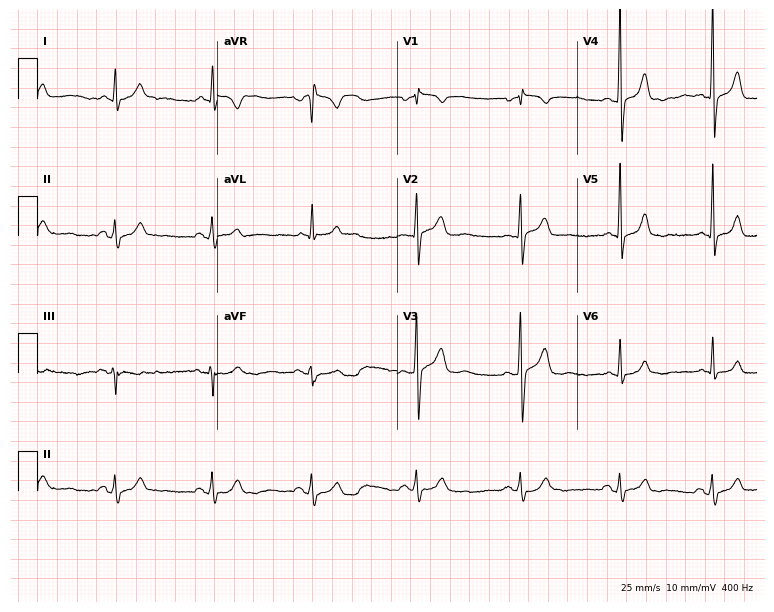
Standard 12-lead ECG recorded from a 69-year-old male. None of these six findings is recorded: first-degree AV block, right bundle branch block, left bundle branch block, sinus bradycardia, atrial fibrillation, sinus tachycardia.